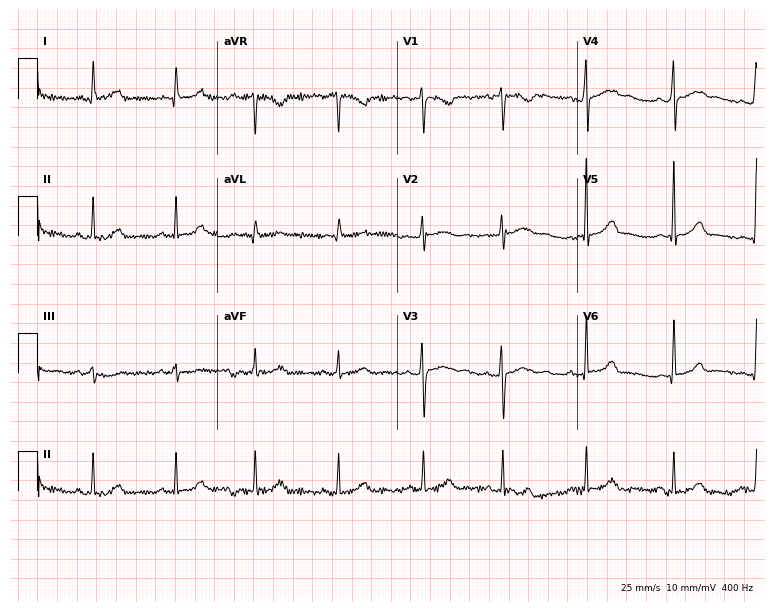
Resting 12-lead electrocardiogram (7.3-second recording at 400 Hz). Patient: a woman, 25 years old. None of these six findings is recorded: first-degree AV block, right bundle branch block, left bundle branch block, sinus bradycardia, atrial fibrillation, sinus tachycardia.